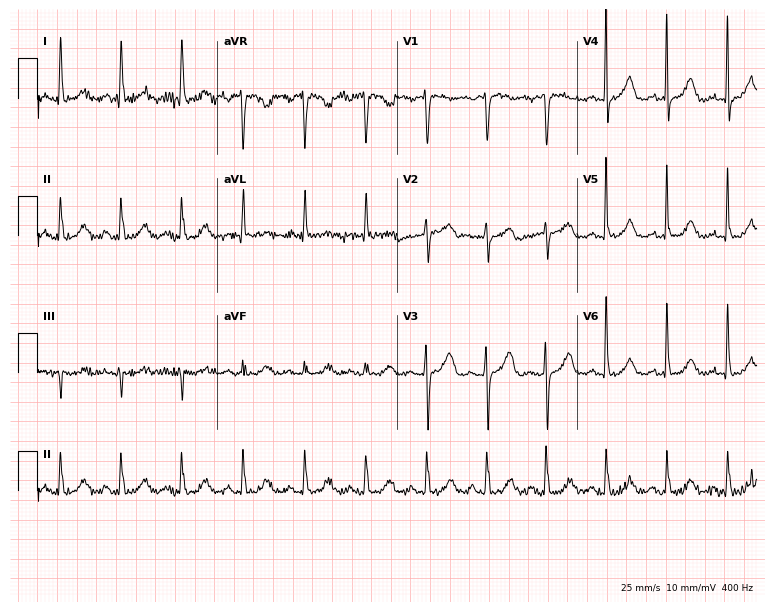
ECG — a woman, 69 years old. Screened for six findings — first-degree AV block, right bundle branch block, left bundle branch block, sinus bradycardia, atrial fibrillation, sinus tachycardia — none is recorded.